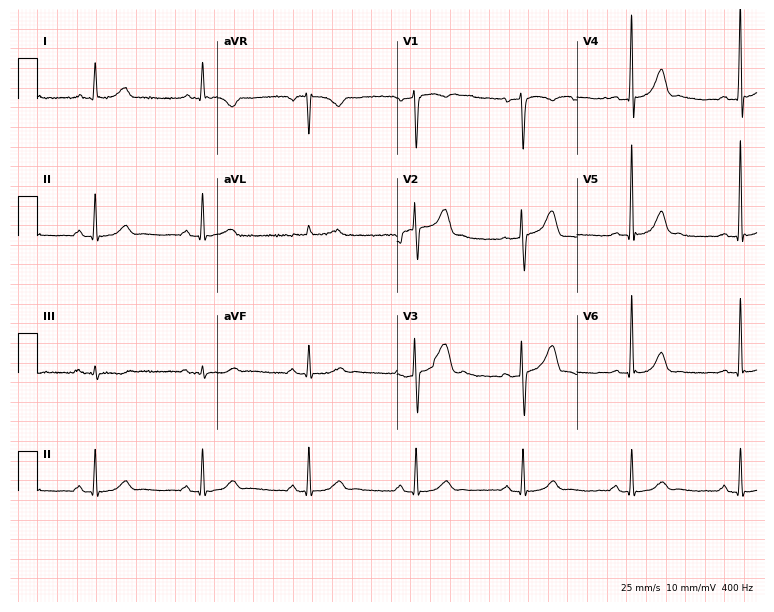
Electrocardiogram (7.3-second recording at 400 Hz), a male, 58 years old. Overall reading on record: normal ECG.